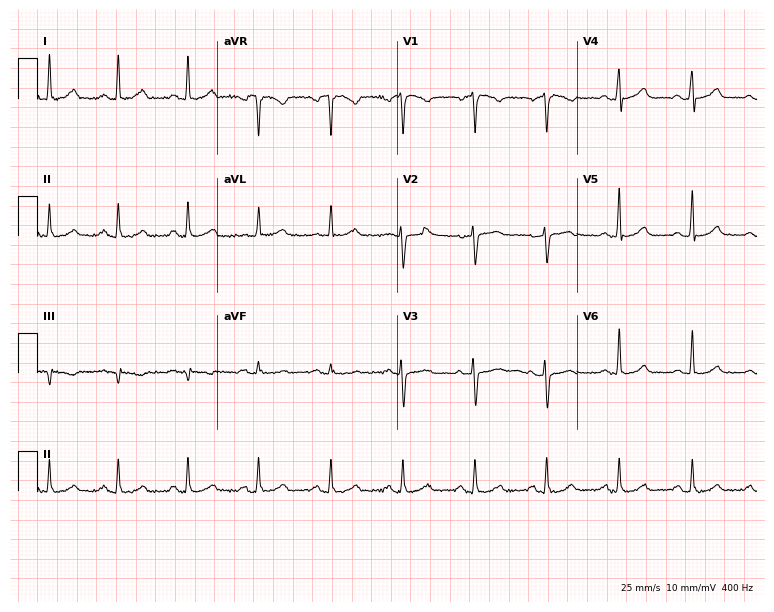
Resting 12-lead electrocardiogram. Patient: a female, 49 years old. Read as a normal ECG.